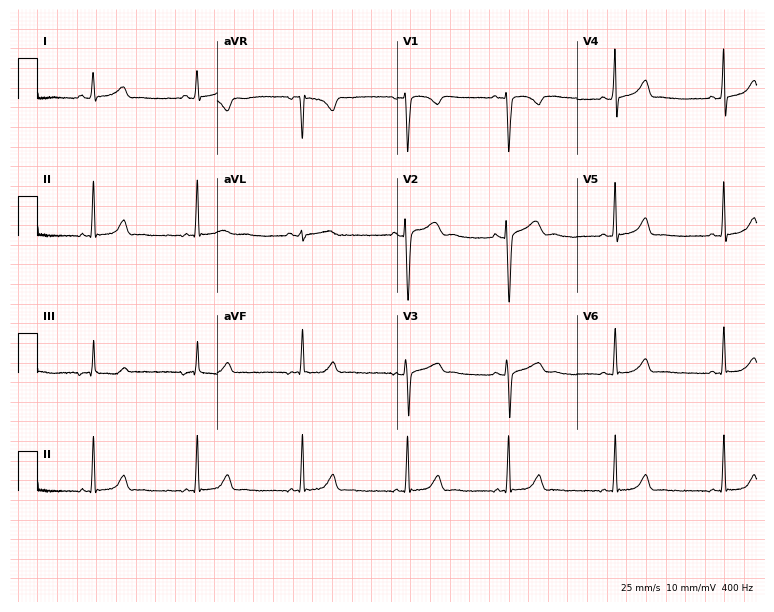
Resting 12-lead electrocardiogram (7.3-second recording at 400 Hz). Patient: a 21-year-old woman. Read as a normal ECG.